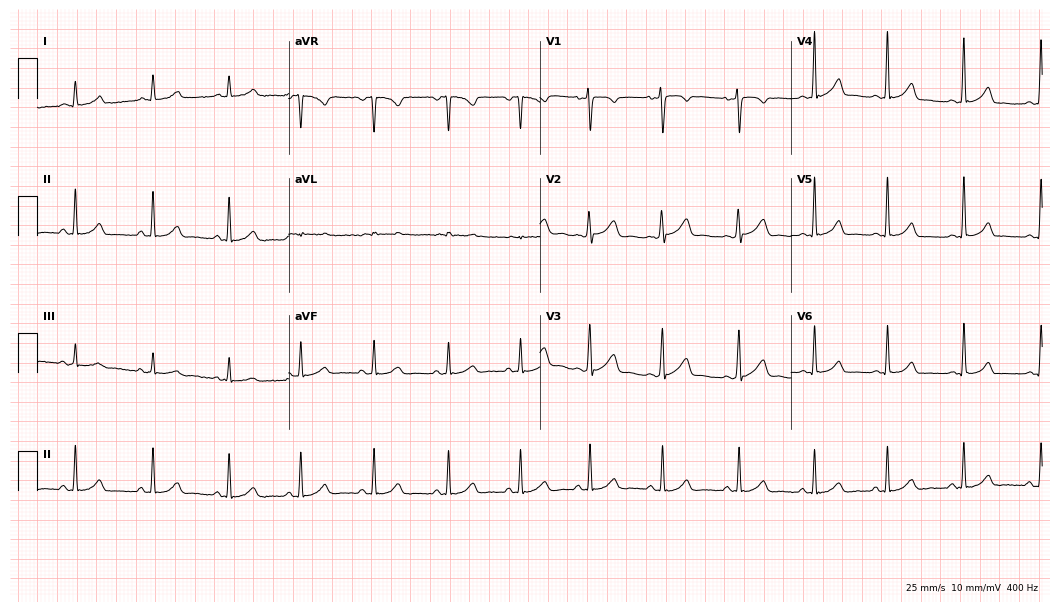
ECG — a 27-year-old woman. Labelled as a normal ECG.